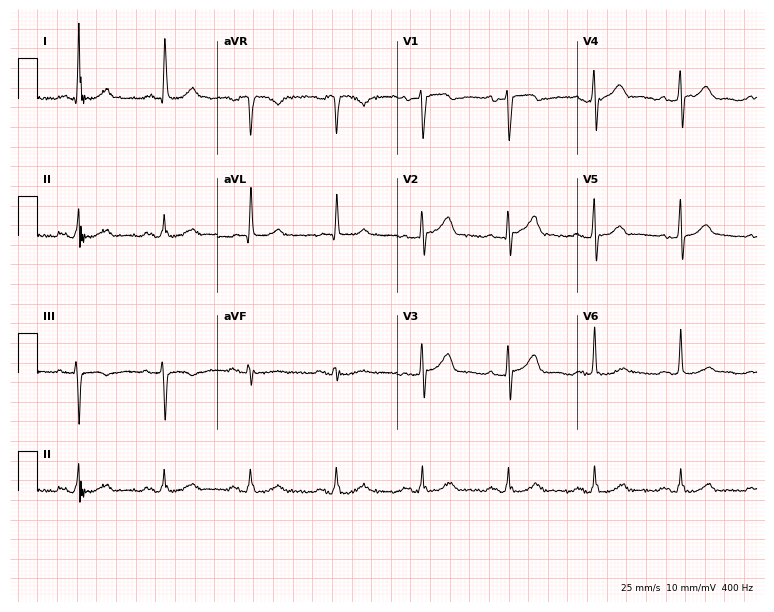
ECG — an 84-year-old male. Labelled as a normal ECG.